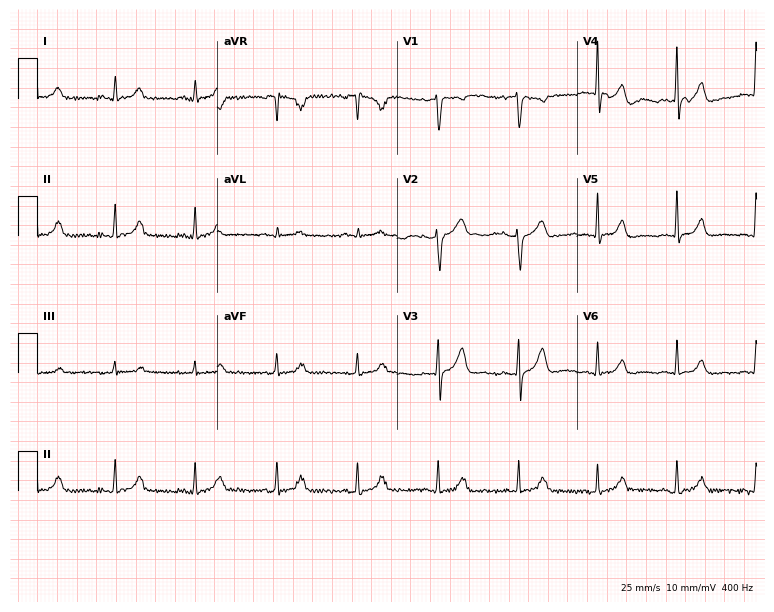
Standard 12-lead ECG recorded from a 49-year-old woman. None of these six findings is recorded: first-degree AV block, right bundle branch block, left bundle branch block, sinus bradycardia, atrial fibrillation, sinus tachycardia.